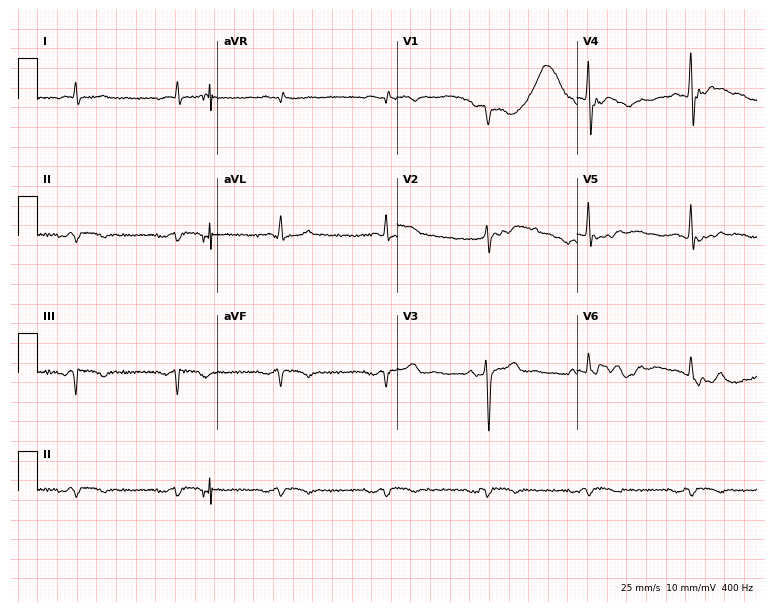
12-lead ECG (7.3-second recording at 400 Hz) from a 61-year-old male. Screened for six findings — first-degree AV block, right bundle branch block, left bundle branch block, sinus bradycardia, atrial fibrillation, sinus tachycardia — none is recorded.